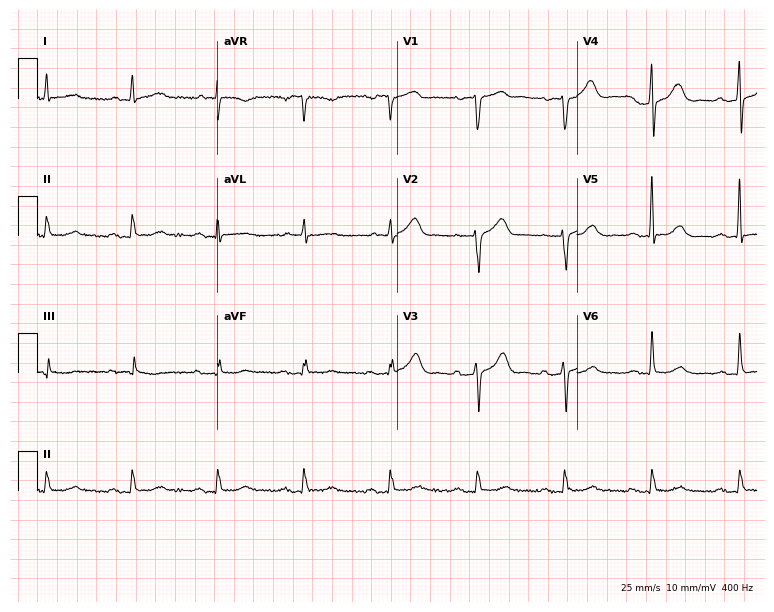
12-lead ECG from a male patient, 62 years old (7.3-second recording at 400 Hz). Shows first-degree AV block.